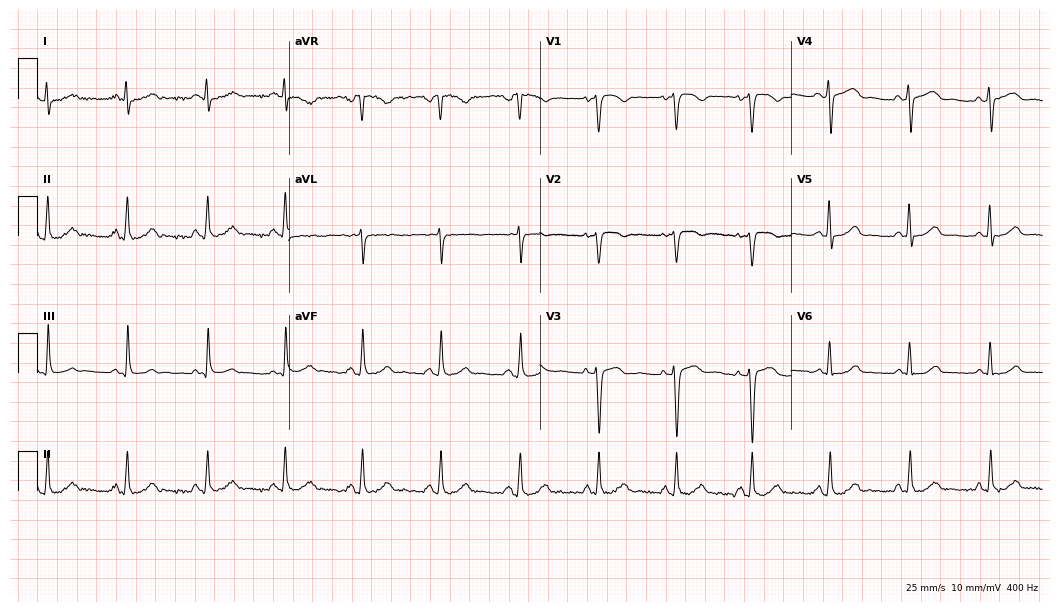
Standard 12-lead ECG recorded from a woman, 41 years old (10.2-second recording at 400 Hz). Read as a normal ECG.